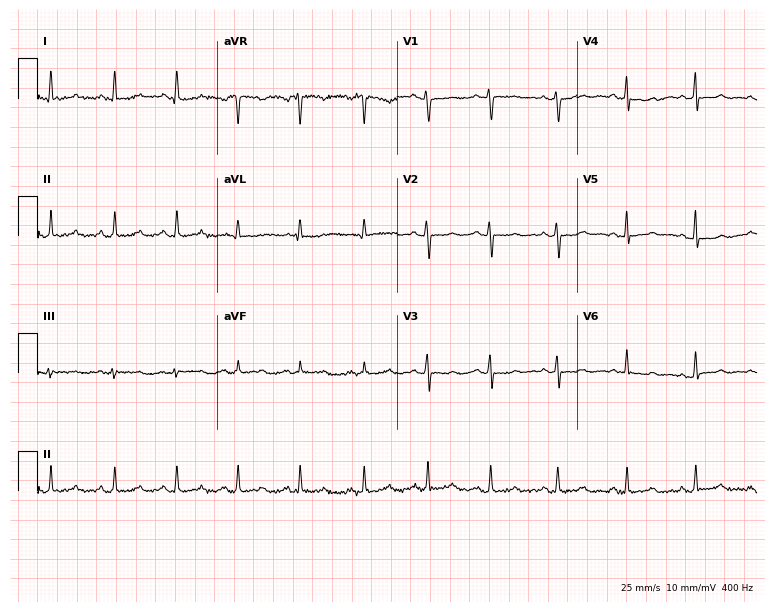
Resting 12-lead electrocardiogram (7.3-second recording at 400 Hz). Patient: a female, 46 years old. None of these six findings is recorded: first-degree AV block, right bundle branch block, left bundle branch block, sinus bradycardia, atrial fibrillation, sinus tachycardia. Other findings, if any, are not listed.